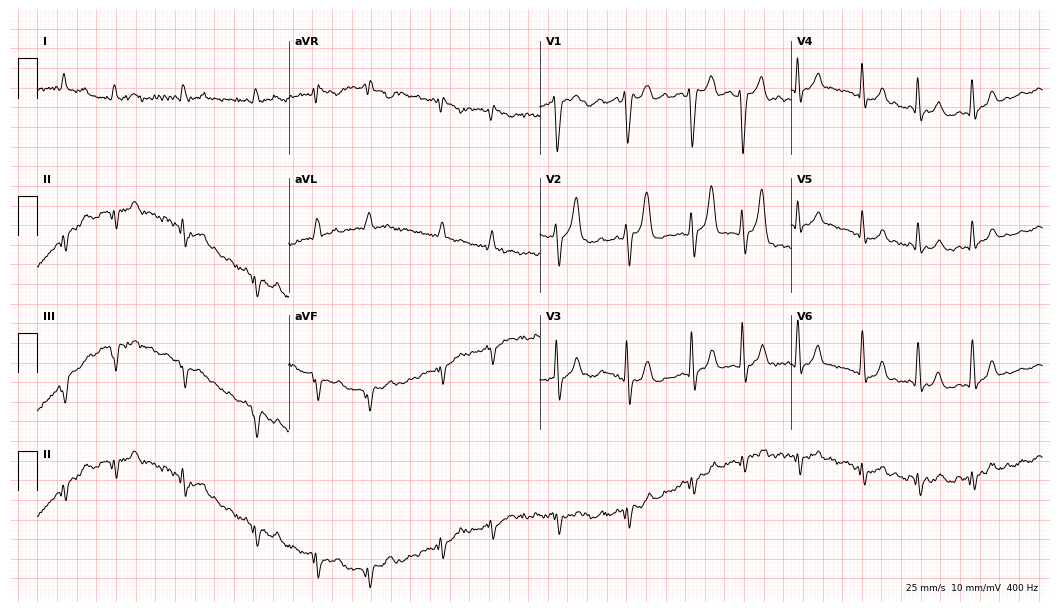
12-lead ECG from a 78-year-old male. Screened for six findings — first-degree AV block, right bundle branch block, left bundle branch block, sinus bradycardia, atrial fibrillation, sinus tachycardia — none is recorded. Findings outside these six are not listed.